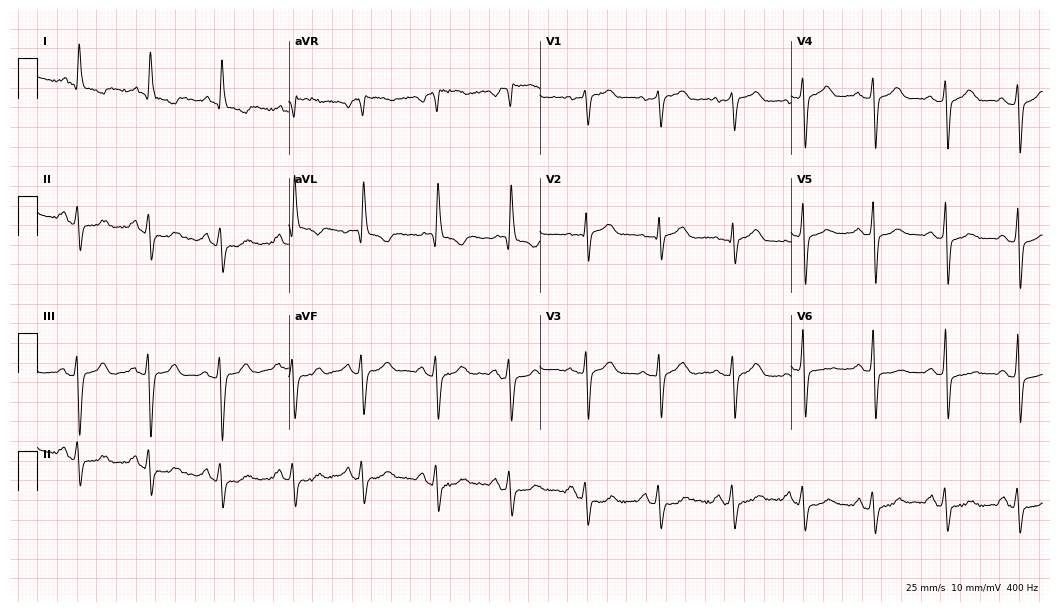
12-lead ECG (10.2-second recording at 400 Hz) from a 71-year-old female. Screened for six findings — first-degree AV block, right bundle branch block, left bundle branch block, sinus bradycardia, atrial fibrillation, sinus tachycardia — none is recorded.